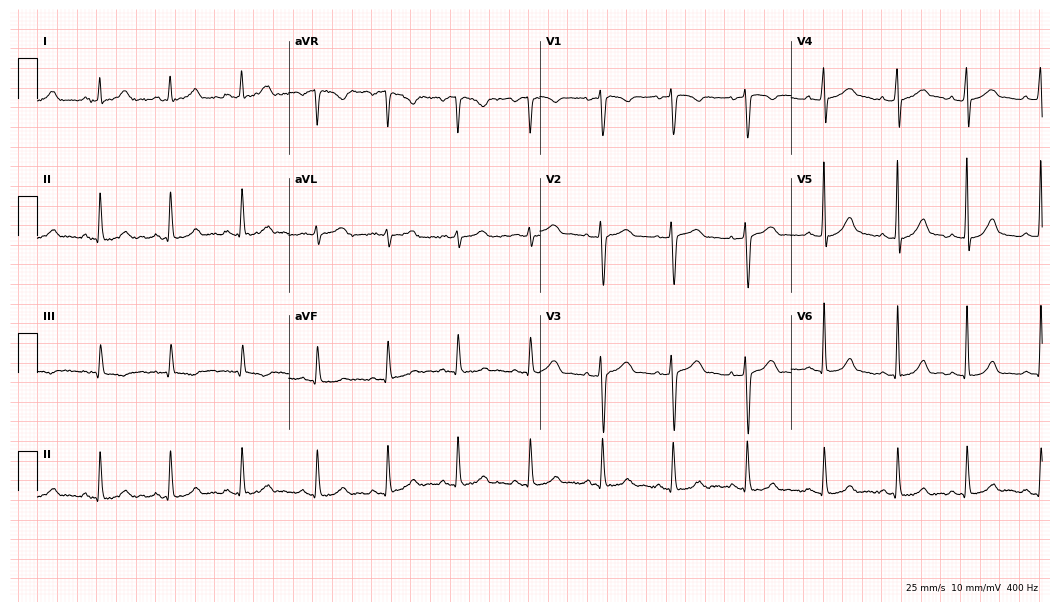
12-lead ECG from a female, 26 years old (10.2-second recording at 400 Hz). Recorded interpretation: within normal limits.